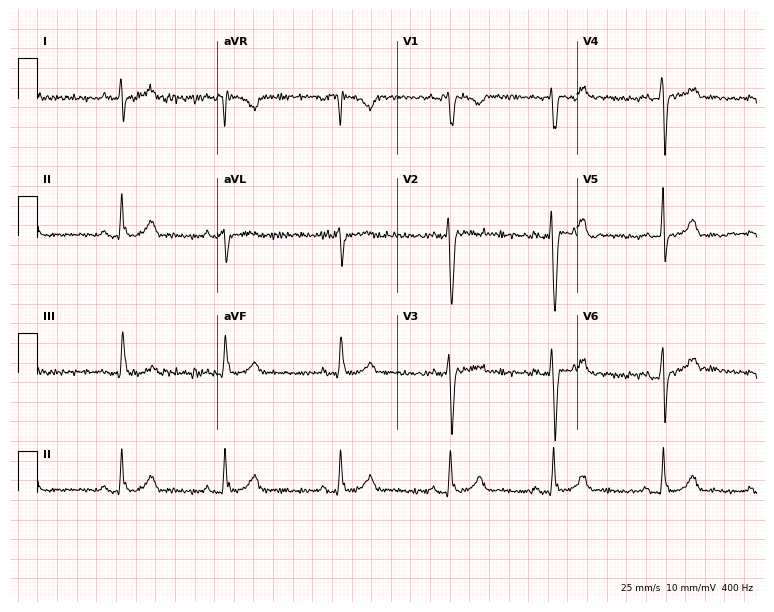
Standard 12-lead ECG recorded from a woman, 29 years old. None of these six findings is recorded: first-degree AV block, right bundle branch block, left bundle branch block, sinus bradycardia, atrial fibrillation, sinus tachycardia. Other findings, if any, are not listed.